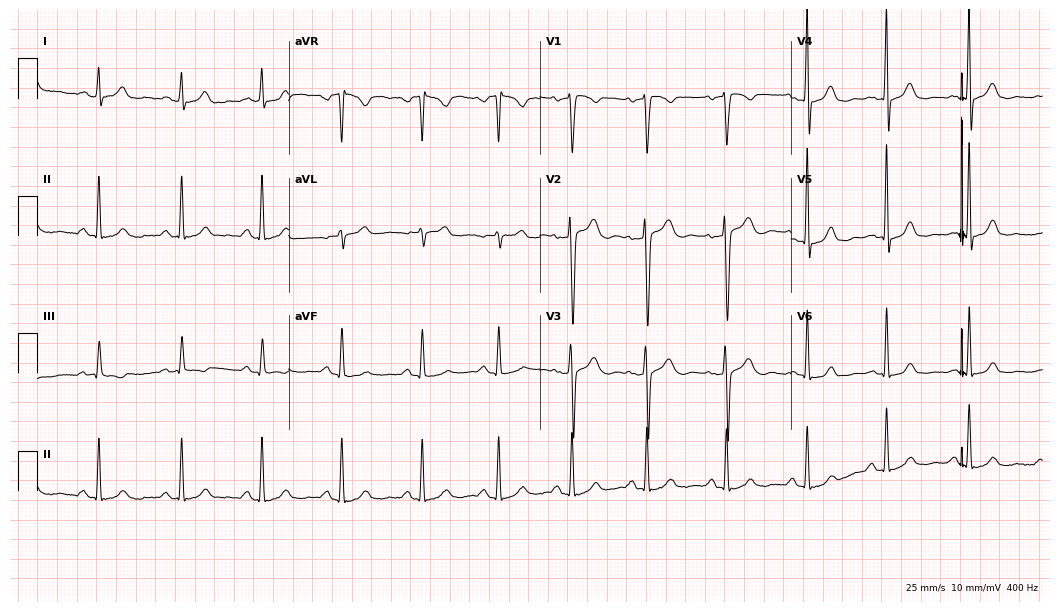
12-lead ECG from a 28-year-old male patient. No first-degree AV block, right bundle branch block, left bundle branch block, sinus bradycardia, atrial fibrillation or sinus tachycardia recorded for this tracing.